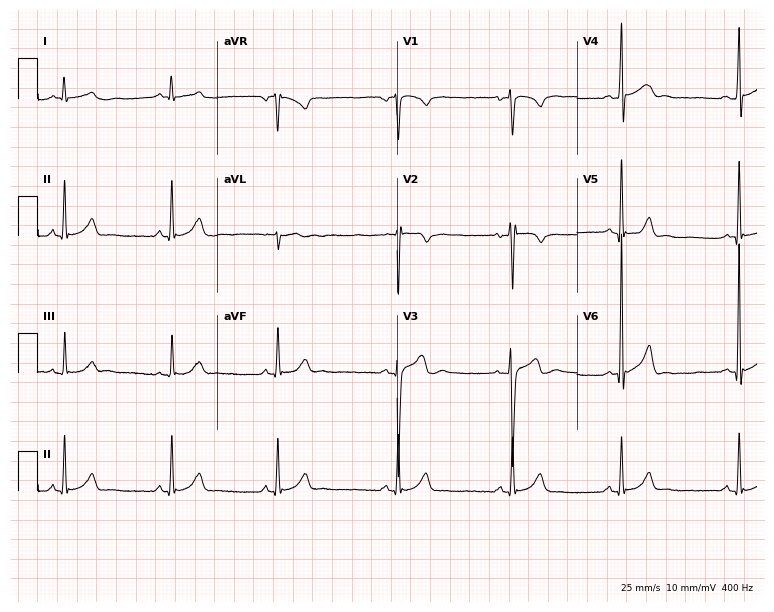
Resting 12-lead electrocardiogram (7.3-second recording at 400 Hz). Patient: a 17-year-old male. Read as a normal ECG.